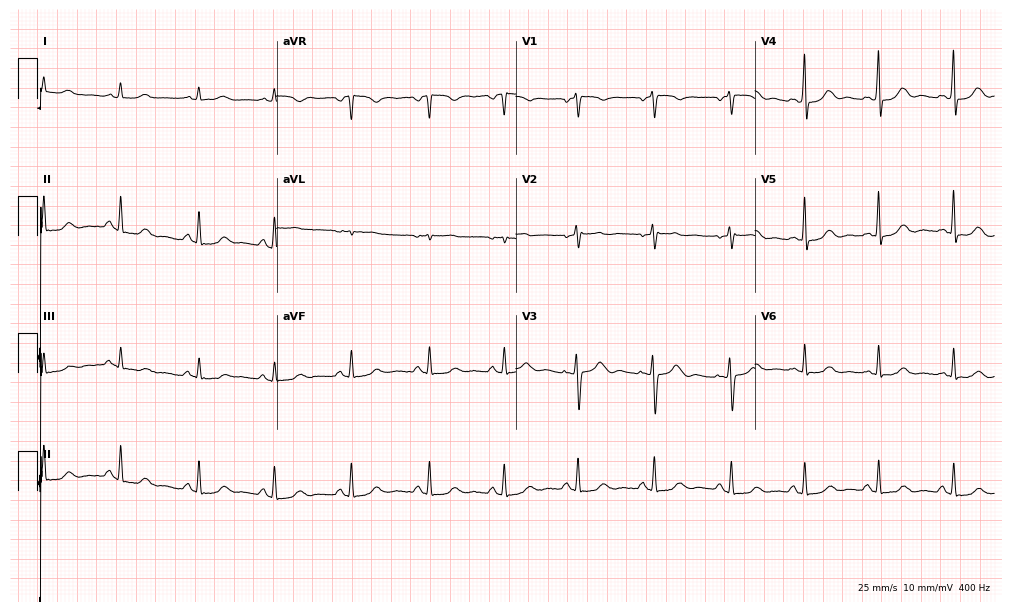
ECG — a 44-year-old female patient. Screened for six findings — first-degree AV block, right bundle branch block, left bundle branch block, sinus bradycardia, atrial fibrillation, sinus tachycardia — none is recorded.